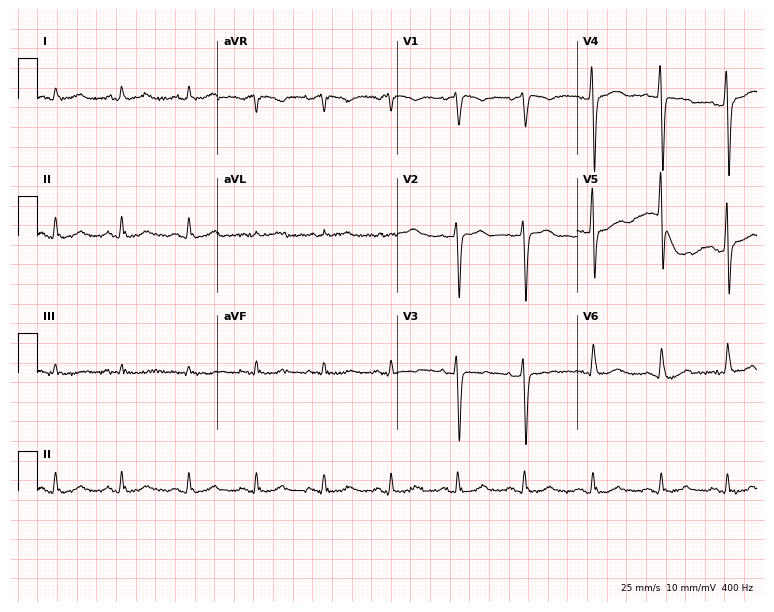
Standard 12-lead ECG recorded from a 46-year-old male. Read as a normal ECG.